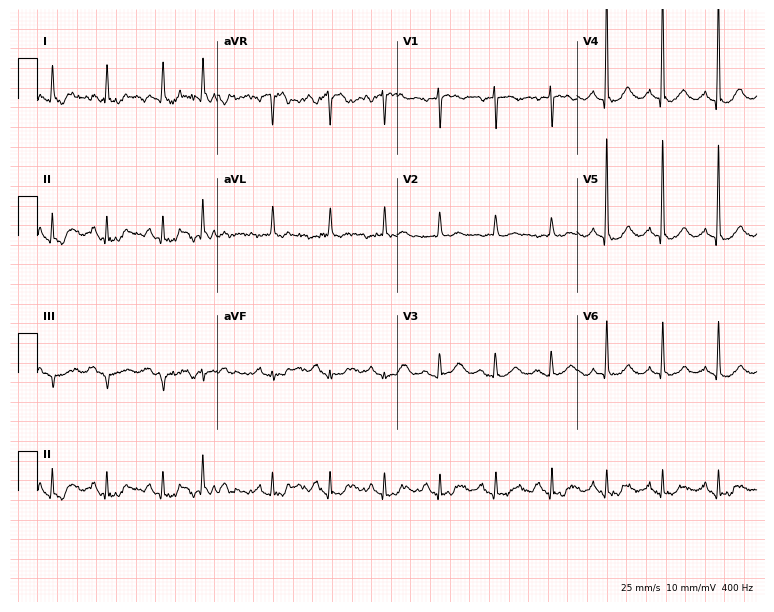
Electrocardiogram (7.3-second recording at 400 Hz), an 84-year-old female. Interpretation includes sinus tachycardia (a sinus rate of 100 beats per minute or more).